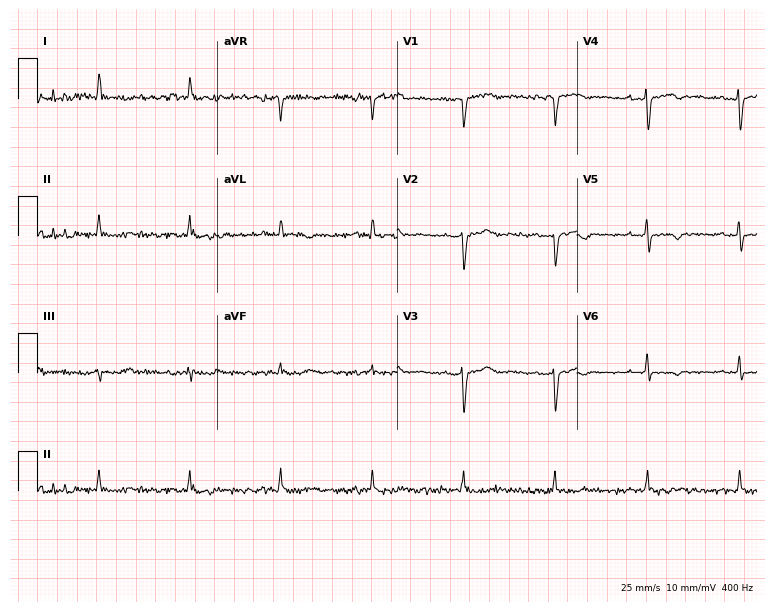
12-lead ECG from a 62-year-old woman (7.3-second recording at 400 Hz). No first-degree AV block, right bundle branch block, left bundle branch block, sinus bradycardia, atrial fibrillation or sinus tachycardia recorded for this tracing. Only these six findings were labelled.